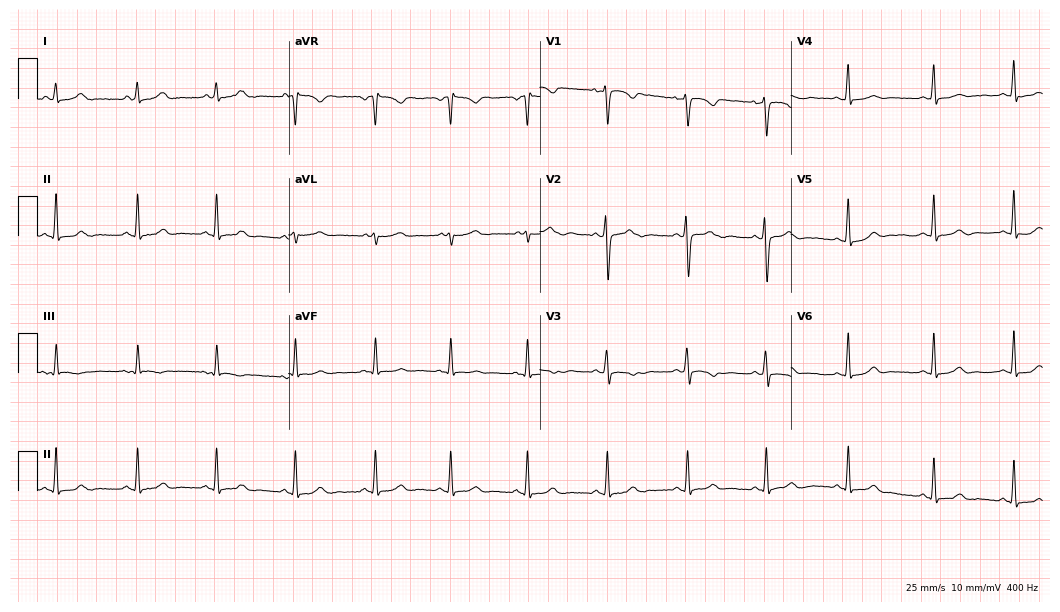
ECG (10.2-second recording at 400 Hz) — a female, 32 years old. Screened for six findings — first-degree AV block, right bundle branch block (RBBB), left bundle branch block (LBBB), sinus bradycardia, atrial fibrillation (AF), sinus tachycardia — none is recorded.